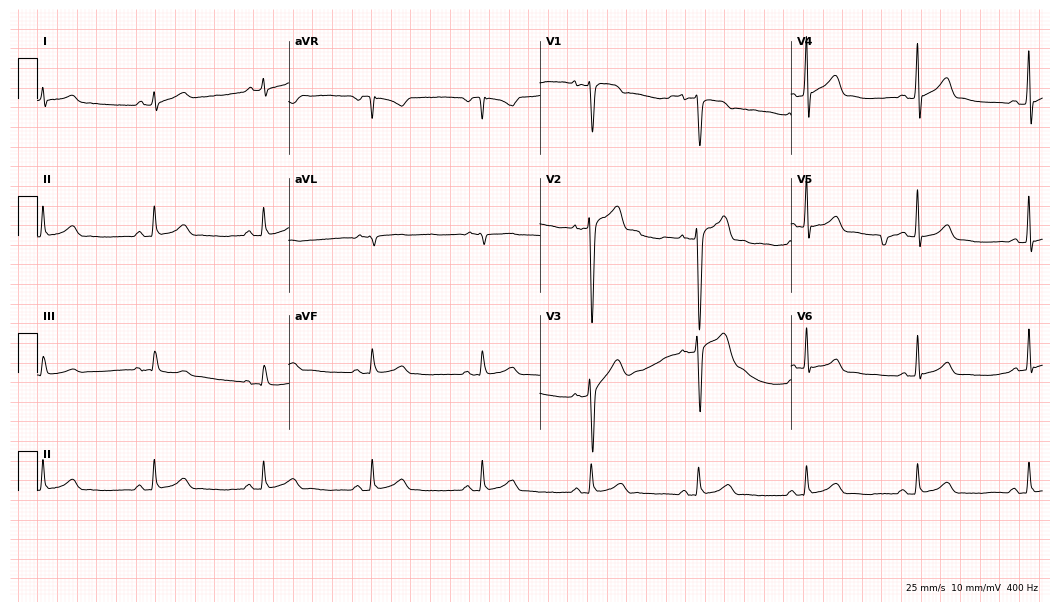
Electrocardiogram (10.2-second recording at 400 Hz), a male patient, 49 years old. Overall reading on record: normal ECG.